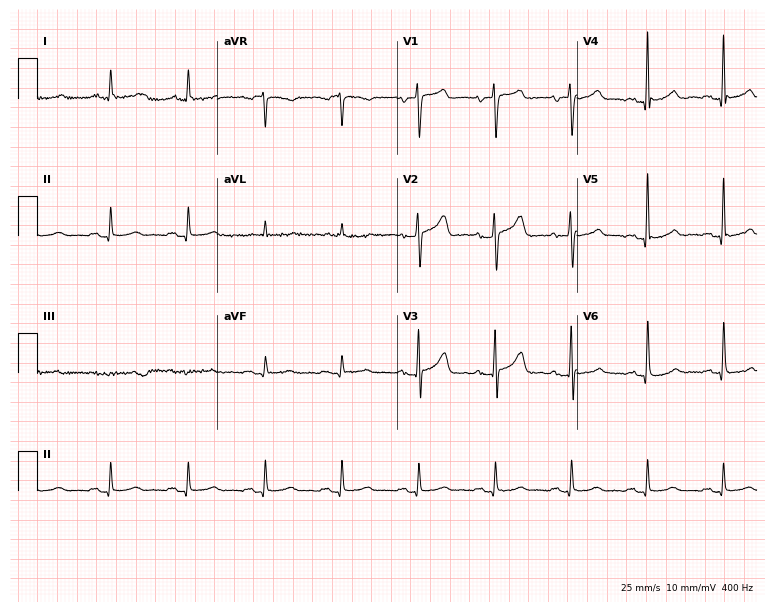
ECG (7.3-second recording at 400 Hz) — a male, 60 years old. Screened for six findings — first-degree AV block, right bundle branch block, left bundle branch block, sinus bradycardia, atrial fibrillation, sinus tachycardia — none is recorded.